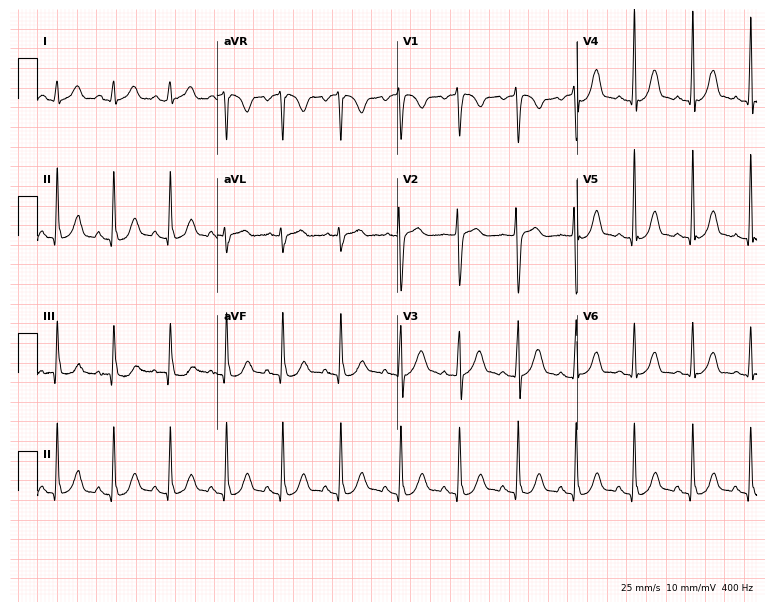
ECG — a 31-year-old female. Screened for six findings — first-degree AV block, right bundle branch block (RBBB), left bundle branch block (LBBB), sinus bradycardia, atrial fibrillation (AF), sinus tachycardia — none is recorded.